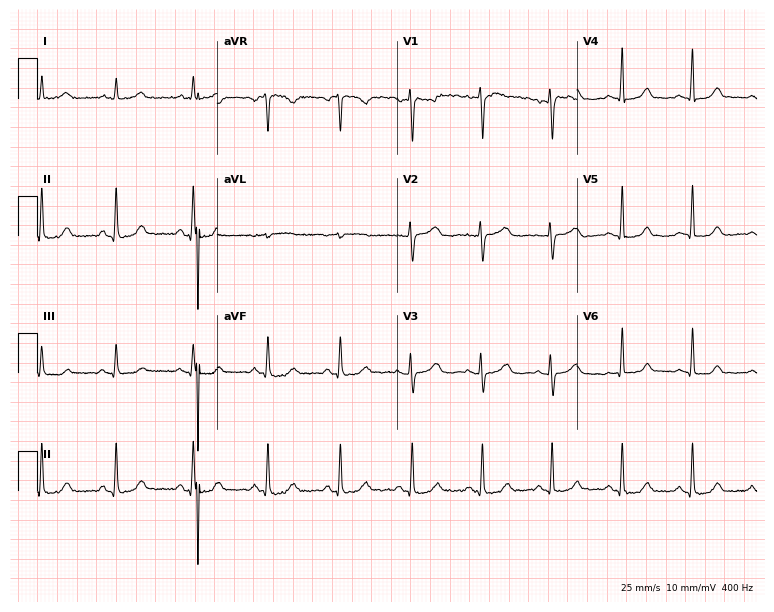
ECG — a 49-year-old woman. Labelled as a normal ECG.